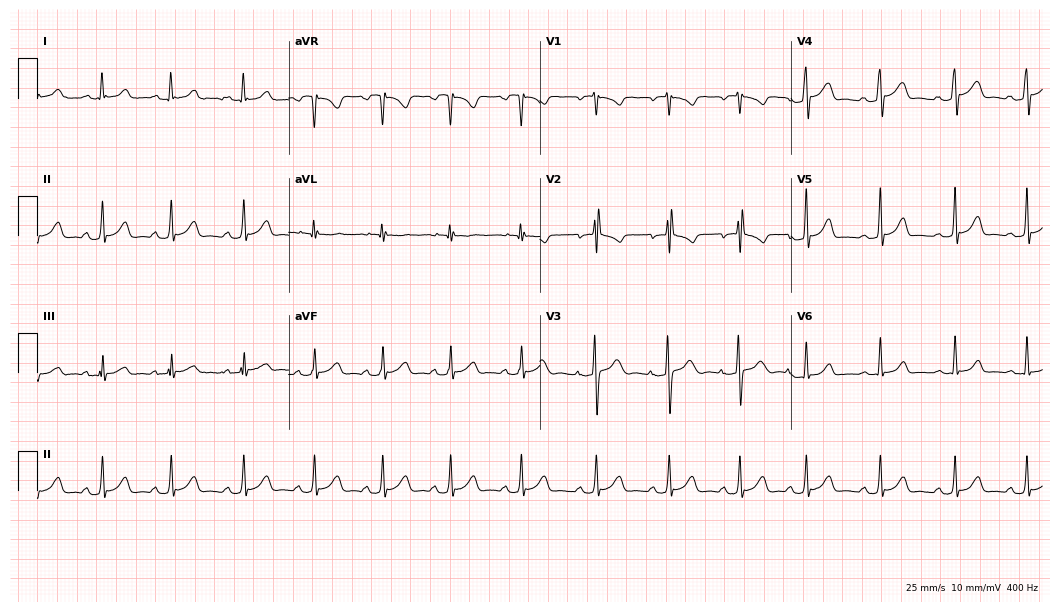
ECG (10.2-second recording at 400 Hz) — a female patient, 17 years old. Screened for six findings — first-degree AV block, right bundle branch block (RBBB), left bundle branch block (LBBB), sinus bradycardia, atrial fibrillation (AF), sinus tachycardia — none is recorded.